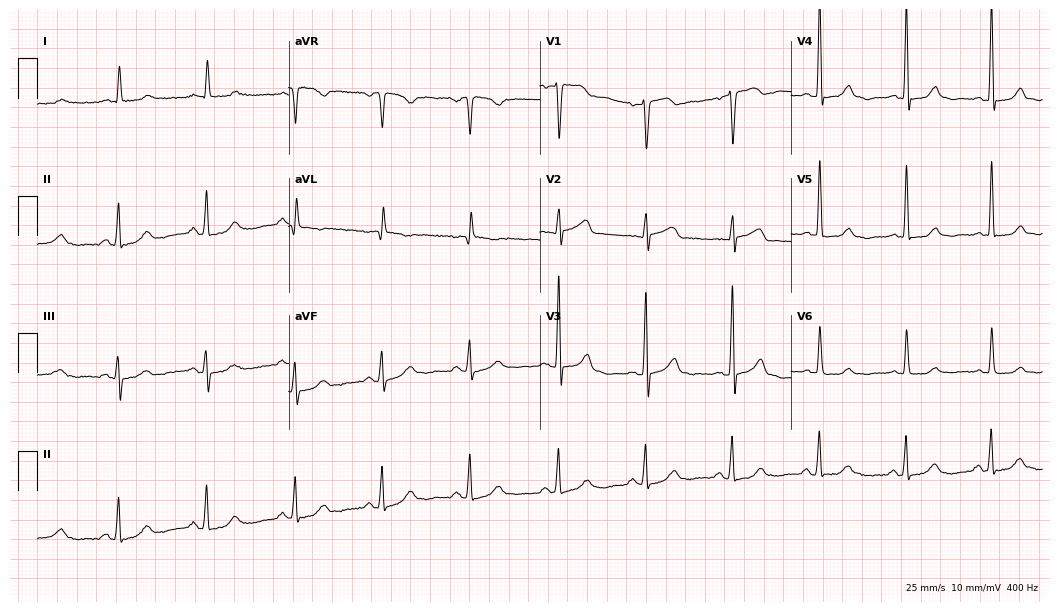
Standard 12-lead ECG recorded from a woman, 68 years old. Read as a normal ECG.